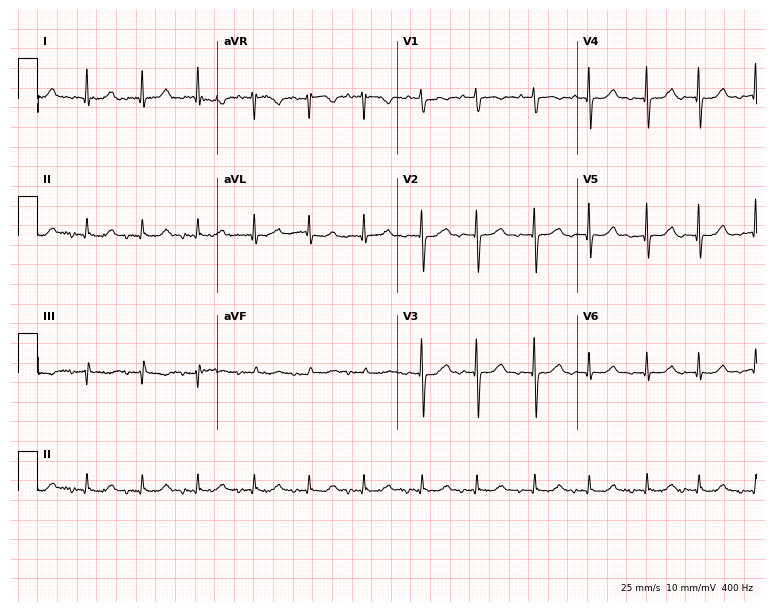
Resting 12-lead electrocardiogram. Patient: a female, 75 years old. The tracing shows sinus tachycardia (a sinus rate of 100 beats per minute or more).